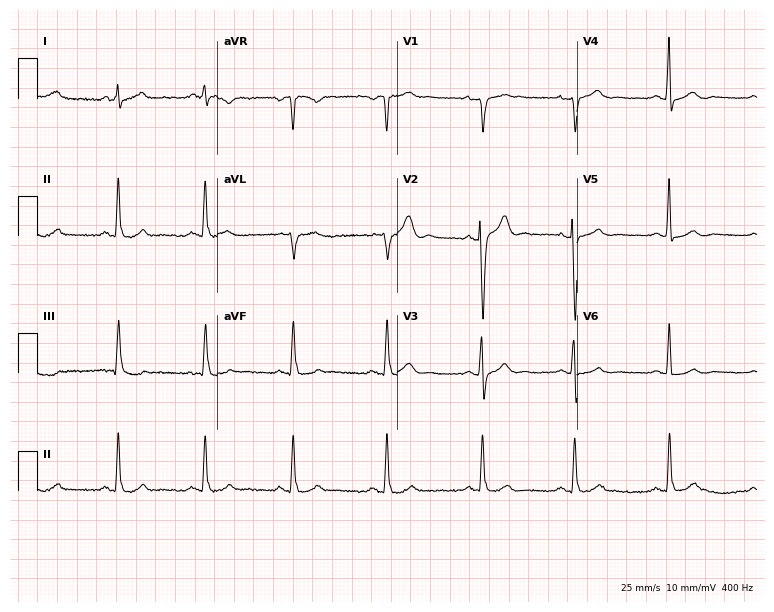
Electrocardiogram, a male, 41 years old. Overall reading on record: normal ECG.